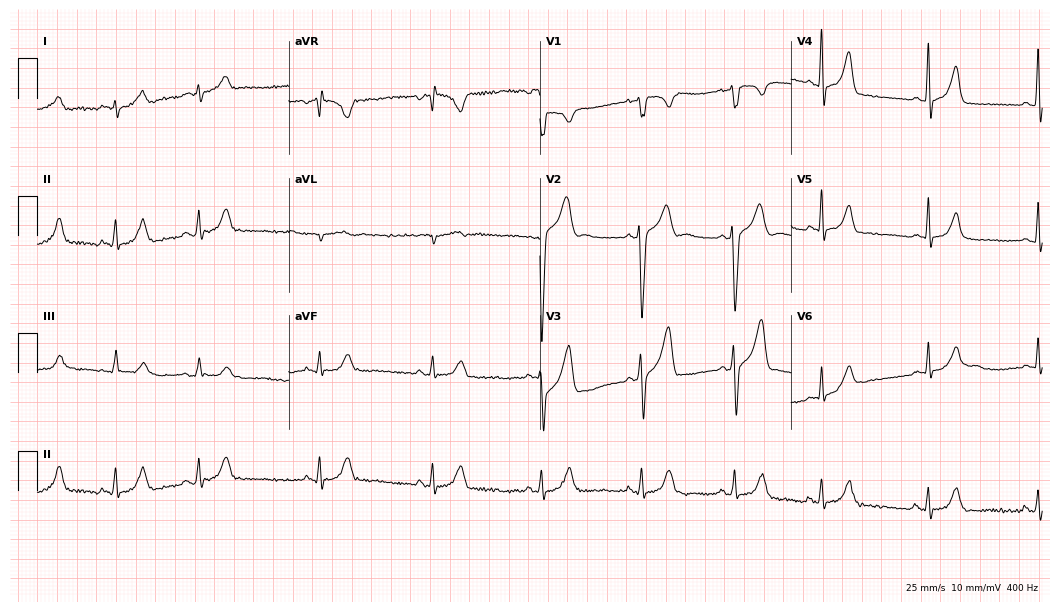
Standard 12-lead ECG recorded from a man, 23 years old (10.2-second recording at 400 Hz). None of these six findings is recorded: first-degree AV block, right bundle branch block, left bundle branch block, sinus bradycardia, atrial fibrillation, sinus tachycardia. Other findings, if any, are not listed.